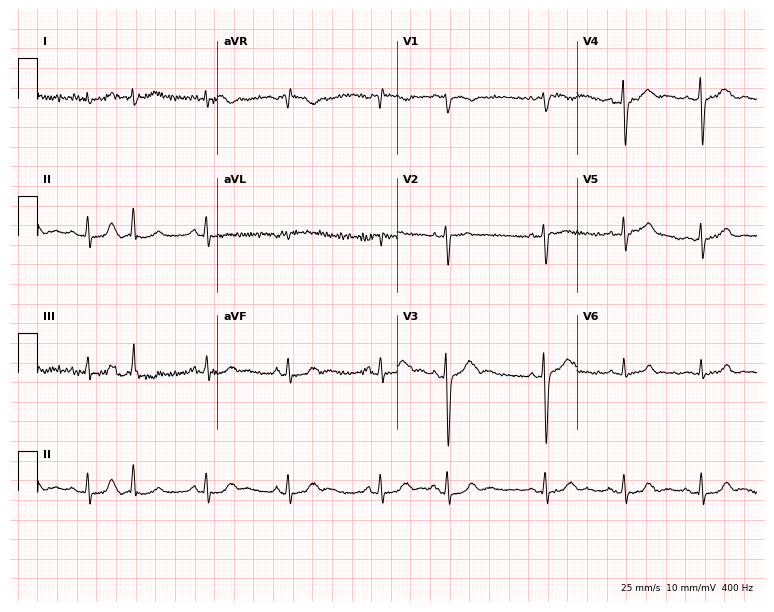
Resting 12-lead electrocardiogram (7.3-second recording at 400 Hz). Patient: a woman, 49 years old. None of these six findings is recorded: first-degree AV block, right bundle branch block, left bundle branch block, sinus bradycardia, atrial fibrillation, sinus tachycardia. Findings outside these six are not listed.